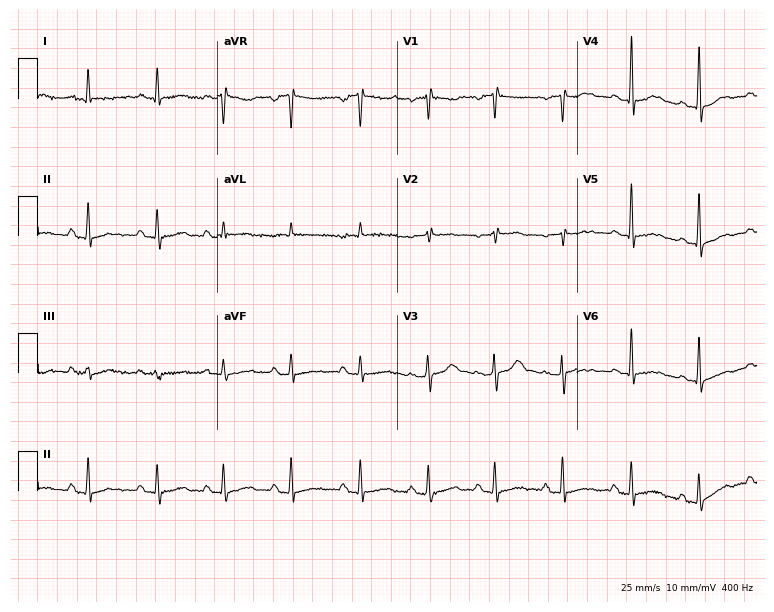
12-lead ECG from a 67-year-old female. Screened for six findings — first-degree AV block, right bundle branch block, left bundle branch block, sinus bradycardia, atrial fibrillation, sinus tachycardia — none is recorded. Other findings, if any, are not listed.